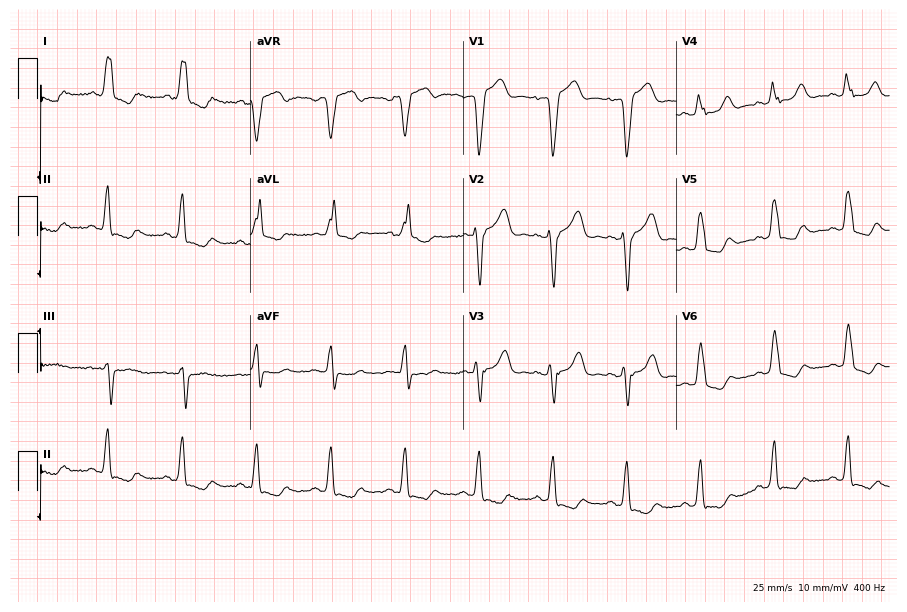
ECG — a woman, 73 years old. Findings include left bundle branch block.